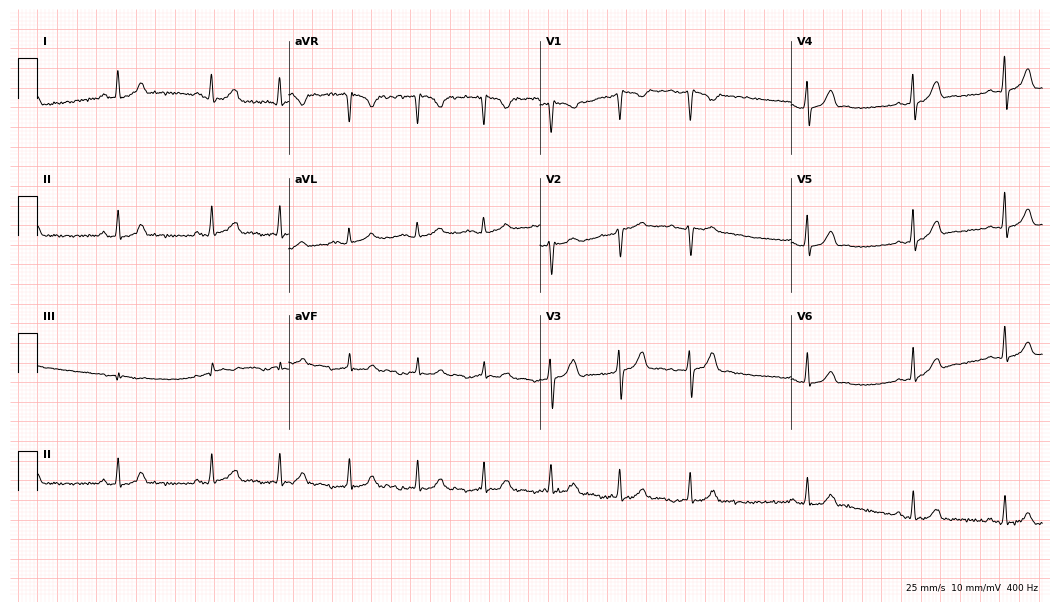
Electrocardiogram, a 28-year-old woman. Of the six screened findings (first-degree AV block, right bundle branch block (RBBB), left bundle branch block (LBBB), sinus bradycardia, atrial fibrillation (AF), sinus tachycardia), none is recorded. Other findings, if any, are not listed.